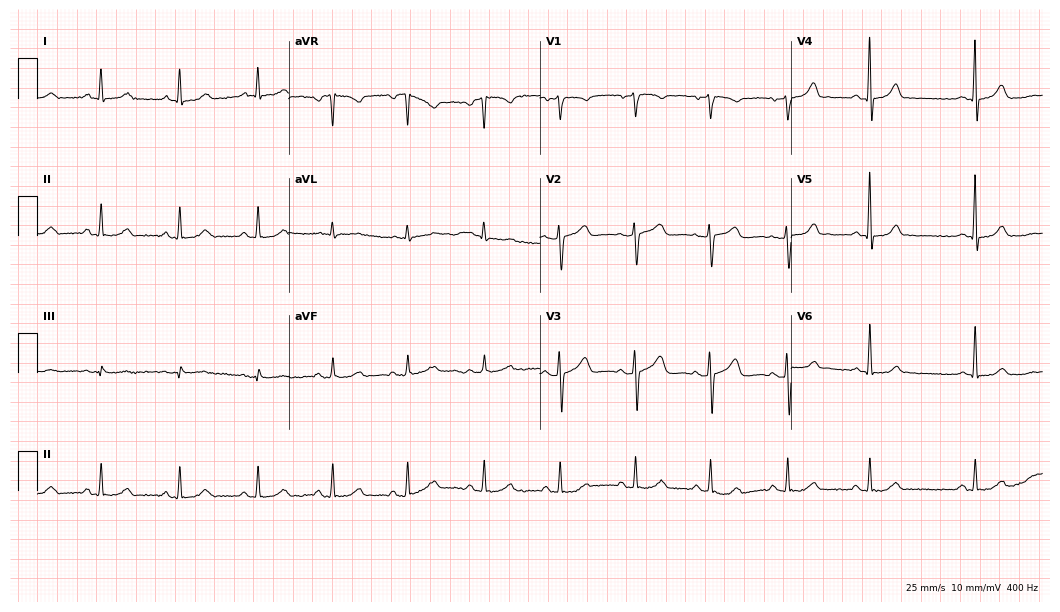
12-lead ECG from a 42-year-old male. Screened for six findings — first-degree AV block, right bundle branch block, left bundle branch block, sinus bradycardia, atrial fibrillation, sinus tachycardia — none is recorded.